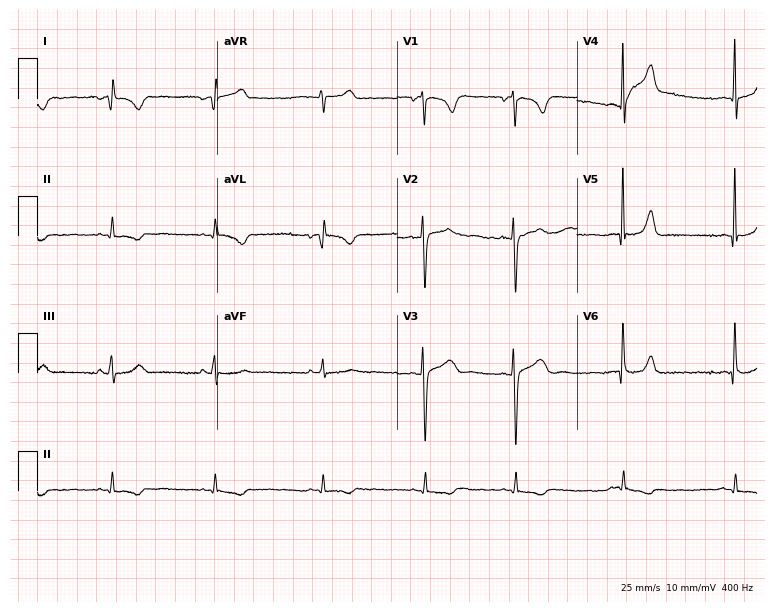
12-lead ECG from a 19-year-old female. No first-degree AV block, right bundle branch block, left bundle branch block, sinus bradycardia, atrial fibrillation or sinus tachycardia recorded for this tracing.